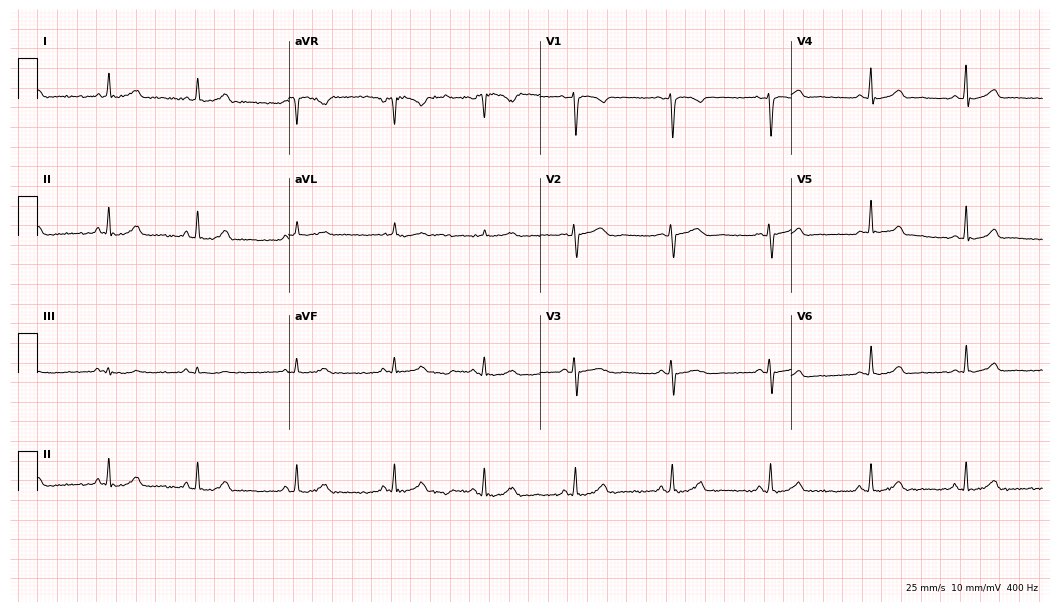
ECG — a 38-year-old woman. Labelled as a normal ECG.